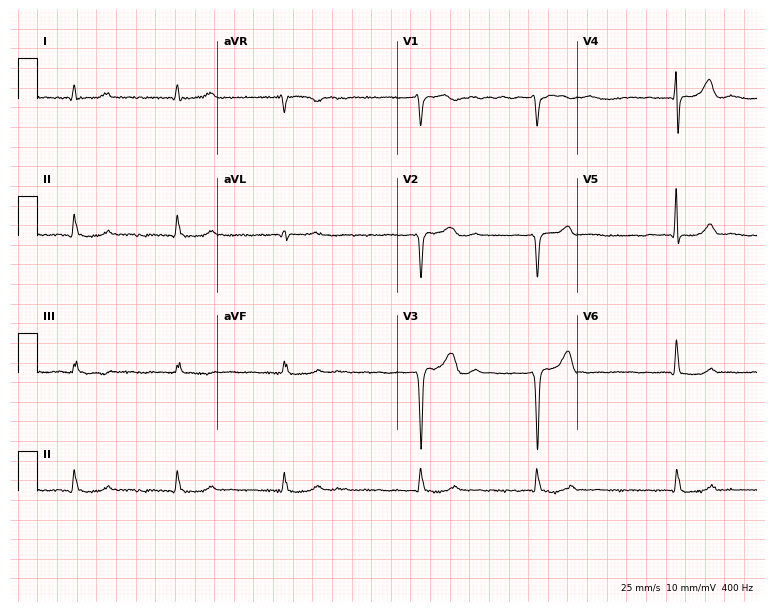
12-lead ECG (7.3-second recording at 400 Hz) from a woman, 81 years old. Labelled as a normal ECG.